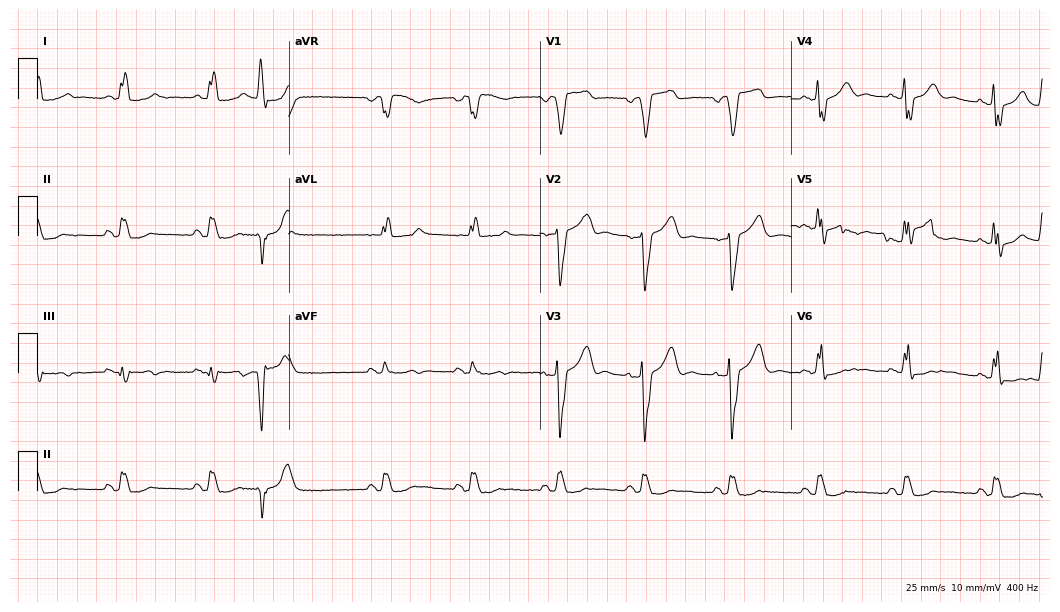
12-lead ECG (10.2-second recording at 400 Hz) from a 65-year-old woman. Findings include left bundle branch block.